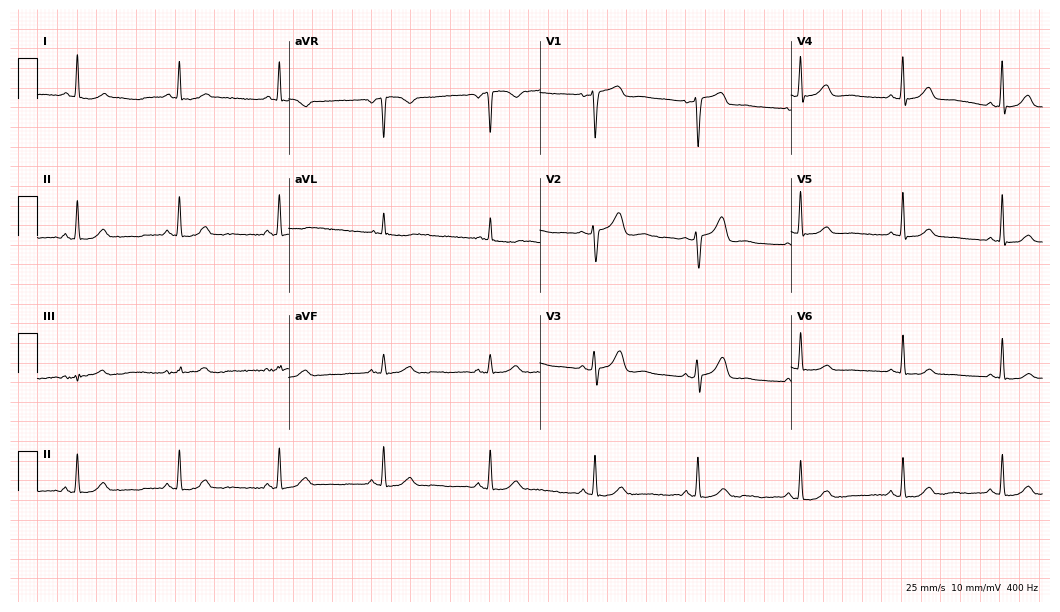
Resting 12-lead electrocardiogram. Patient: a woman, 56 years old. None of these six findings is recorded: first-degree AV block, right bundle branch block, left bundle branch block, sinus bradycardia, atrial fibrillation, sinus tachycardia. Other findings, if any, are not listed.